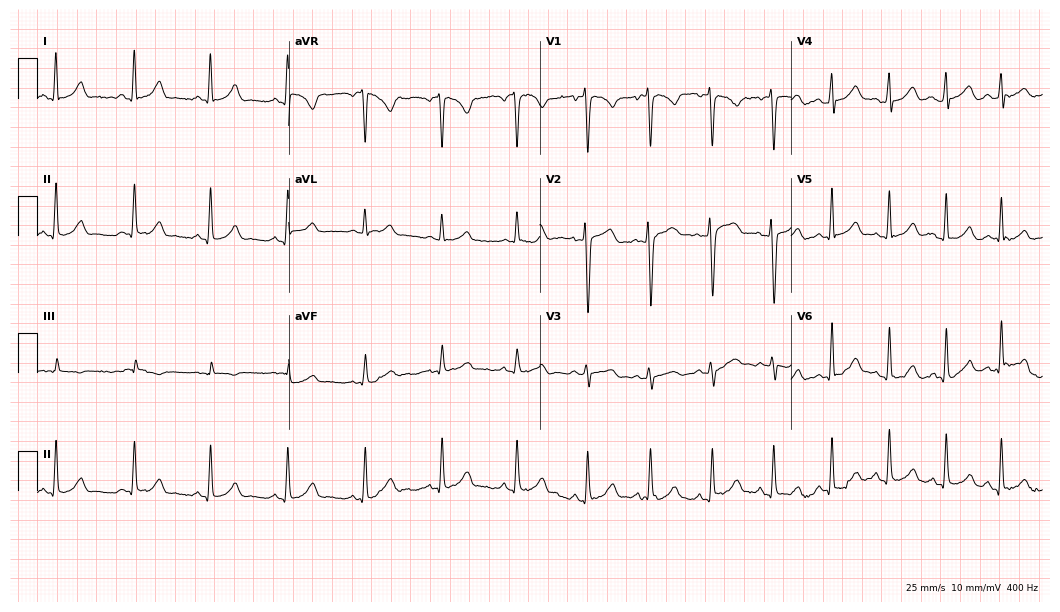
Electrocardiogram (10.2-second recording at 400 Hz), a 21-year-old female. Overall reading on record: normal ECG.